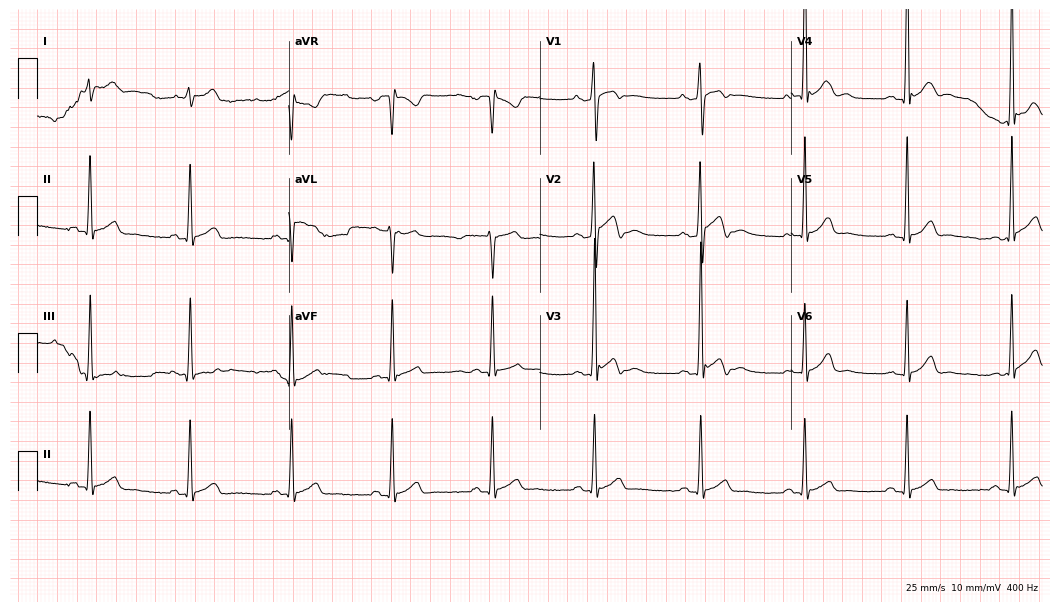
ECG — a man, 18 years old. Labelled as a normal ECG.